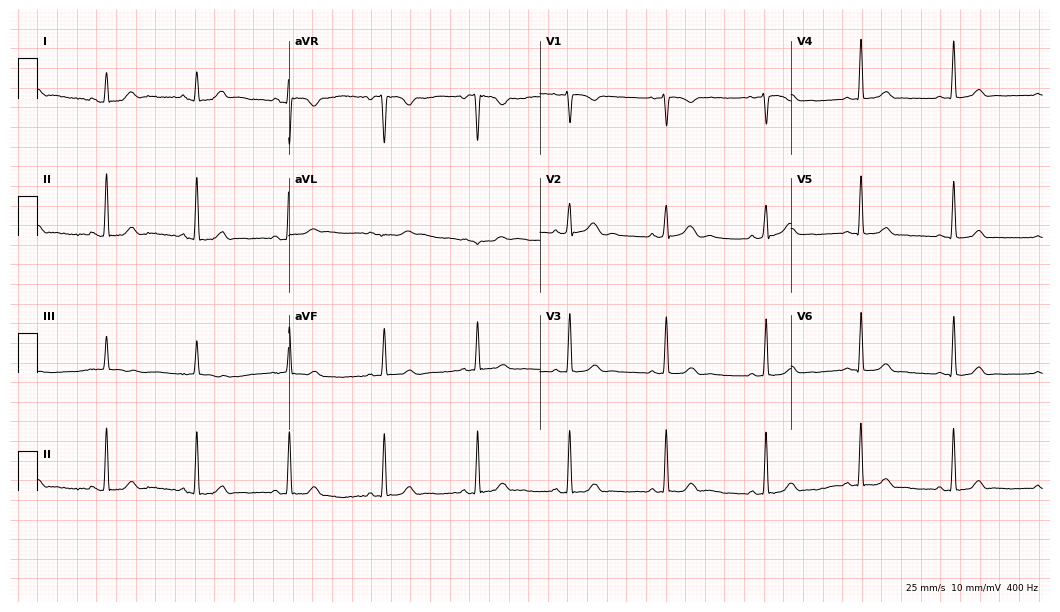
12-lead ECG (10.2-second recording at 400 Hz) from a 28-year-old female patient. Labelled as a normal ECG.